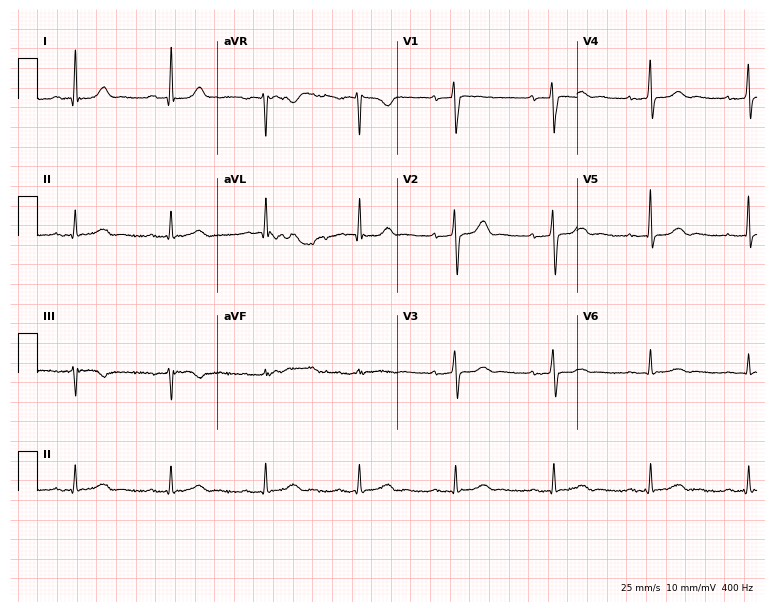
12-lead ECG (7.3-second recording at 400 Hz) from a female, 56 years old. Labelled as a normal ECG.